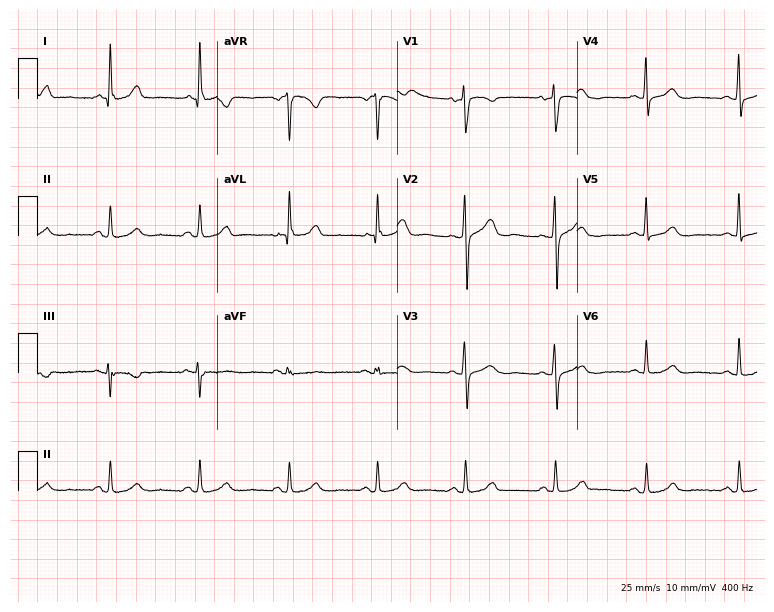
ECG (7.3-second recording at 400 Hz) — a 56-year-old female patient. Labelled as a normal ECG.